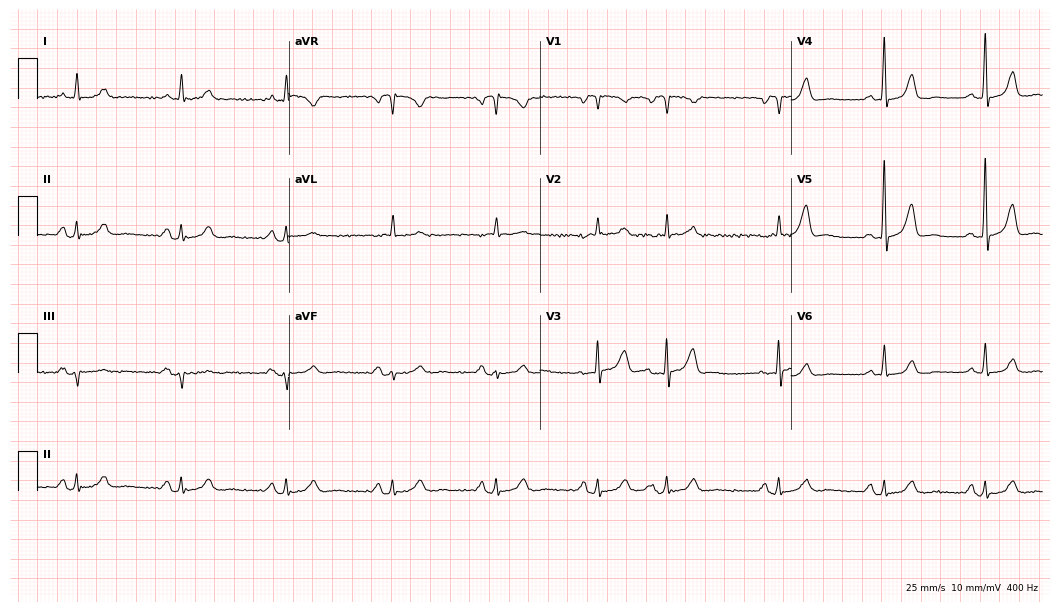
Electrocardiogram (10.2-second recording at 400 Hz), a 76-year-old male patient. Overall reading on record: normal ECG.